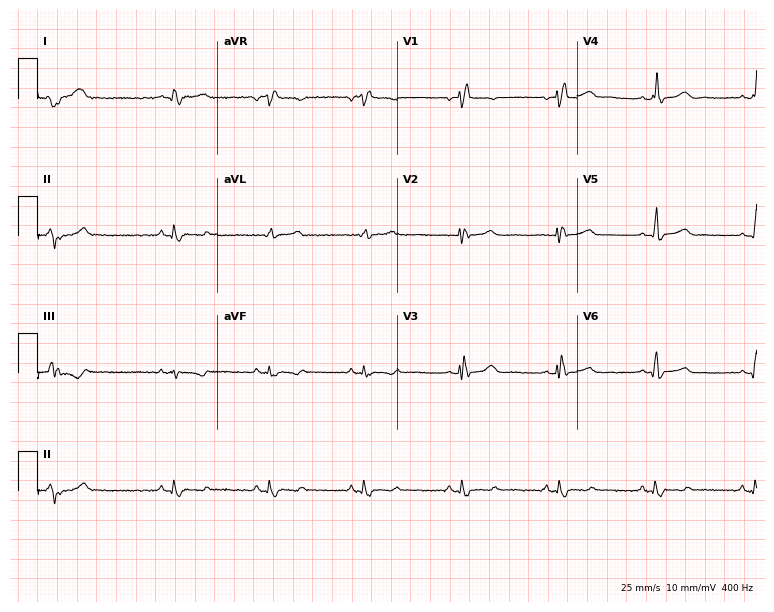
12-lead ECG (7.3-second recording at 400 Hz) from a 56-year-old man. Screened for six findings — first-degree AV block, right bundle branch block, left bundle branch block, sinus bradycardia, atrial fibrillation, sinus tachycardia — none is recorded. Other findings, if any, are not listed.